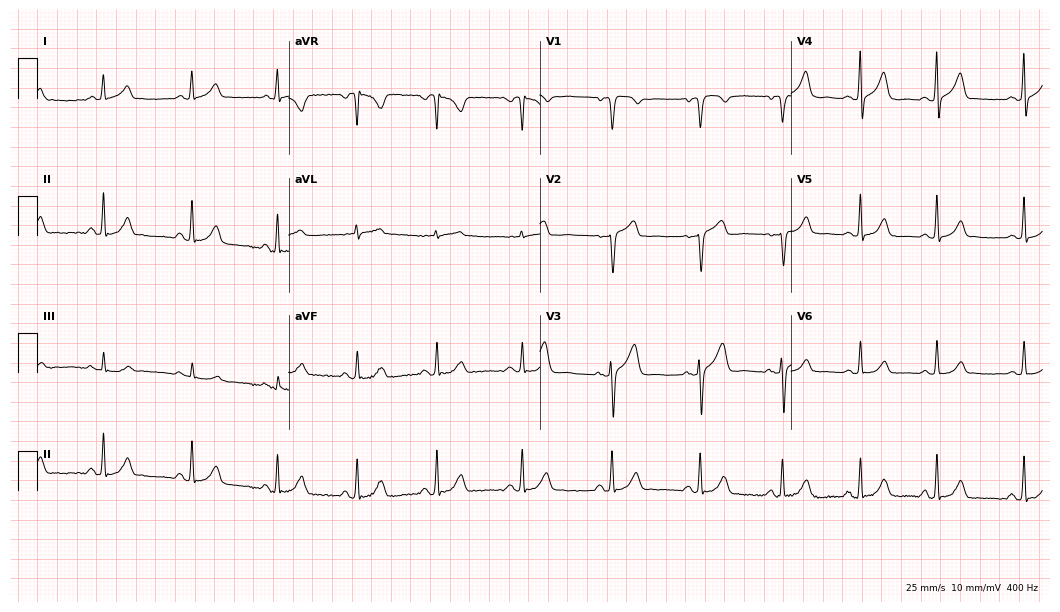
ECG (10.2-second recording at 400 Hz) — a woman, 40 years old. Labelled as a normal ECG.